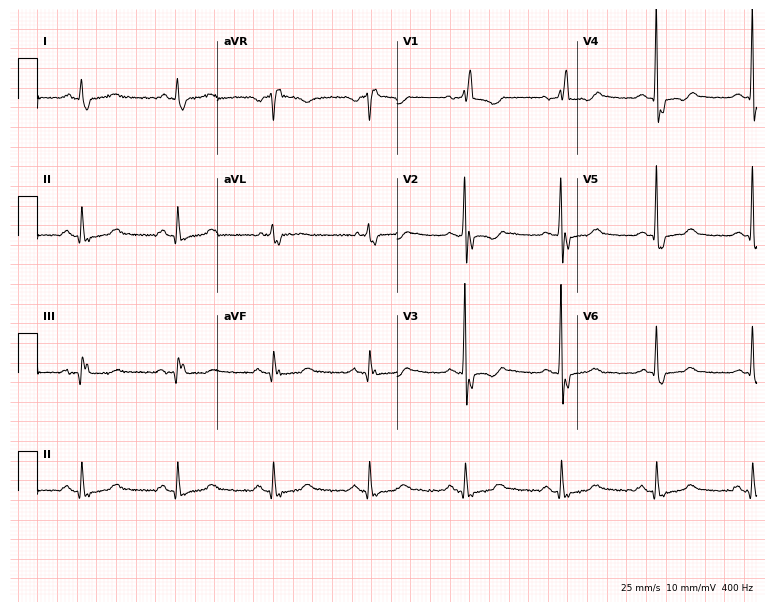
Electrocardiogram (7.3-second recording at 400 Hz), a male patient, 75 years old. Interpretation includes right bundle branch block.